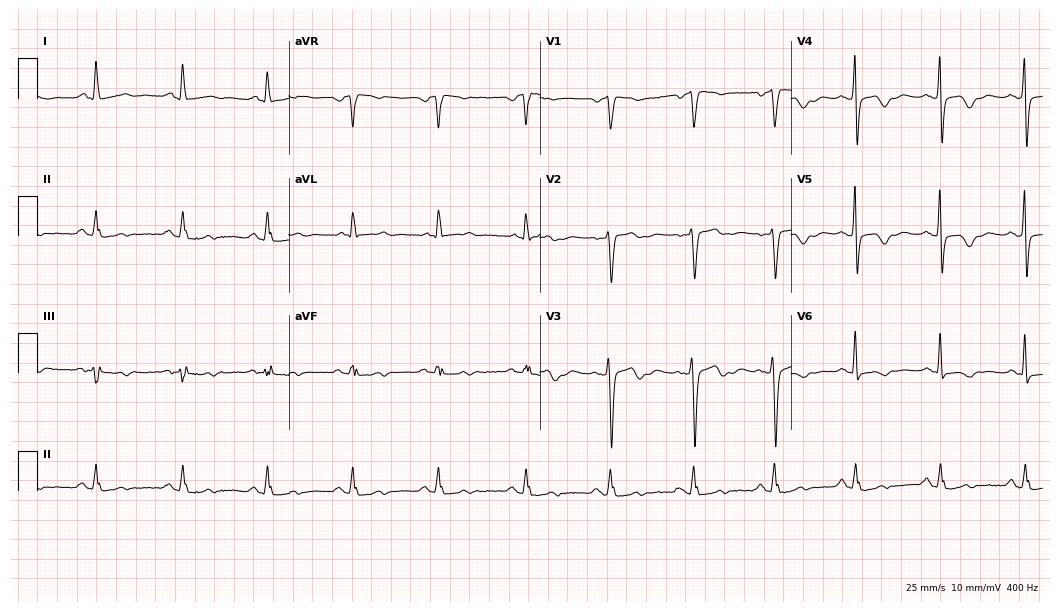
12-lead ECG from a 58-year-old female. Screened for six findings — first-degree AV block, right bundle branch block, left bundle branch block, sinus bradycardia, atrial fibrillation, sinus tachycardia — none is recorded. Only these six findings were labelled.